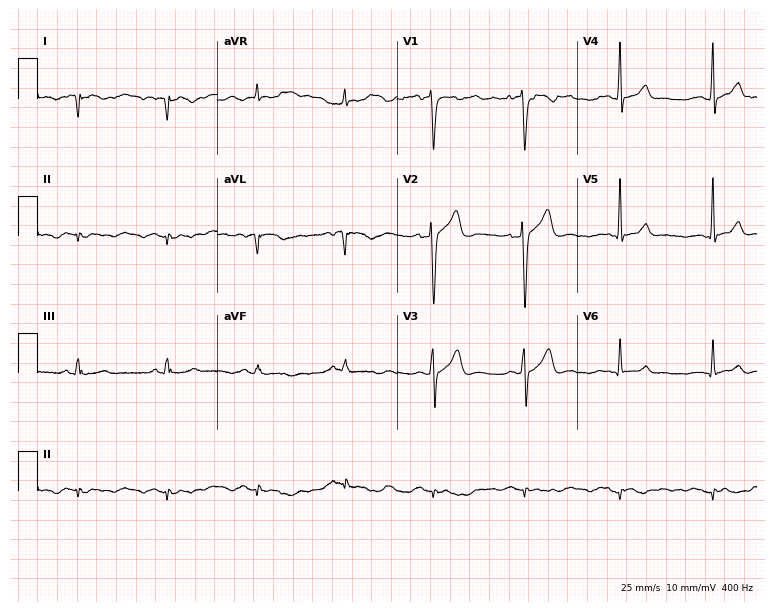
Resting 12-lead electrocardiogram (7.3-second recording at 400 Hz). Patient: a 48-year-old male. None of these six findings is recorded: first-degree AV block, right bundle branch block (RBBB), left bundle branch block (LBBB), sinus bradycardia, atrial fibrillation (AF), sinus tachycardia.